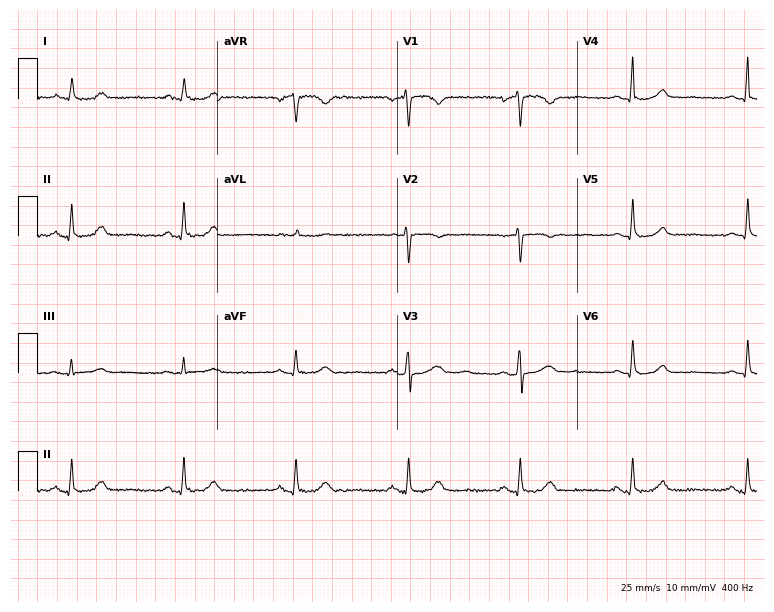
Standard 12-lead ECG recorded from a woman, 54 years old. None of these six findings is recorded: first-degree AV block, right bundle branch block, left bundle branch block, sinus bradycardia, atrial fibrillation, sinus tachycardia. Findings outside these six are not listed.